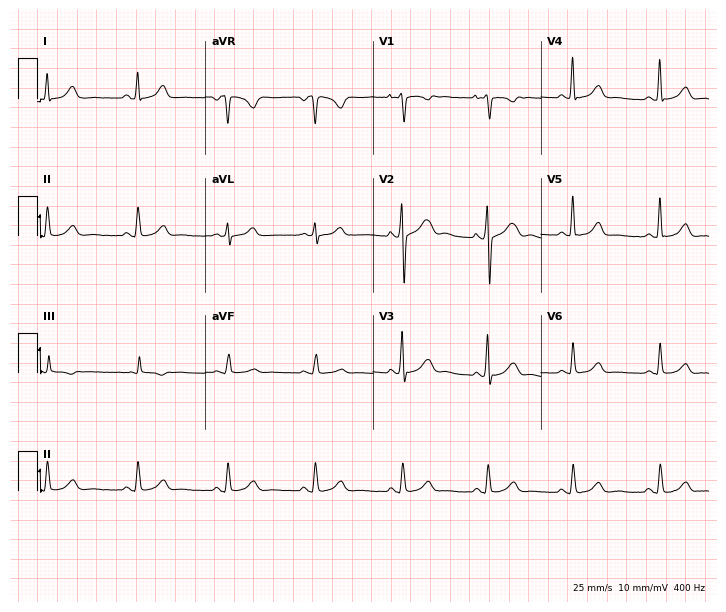
Resting 12-lead electrocardiogram. Patient: a woman, 35 years old. None of these six findings is recorded: first-degree AV block, right bundle branch block, left bundle branch block, sinus bradycardia, atrial fibrillation, sinus tachycardia.